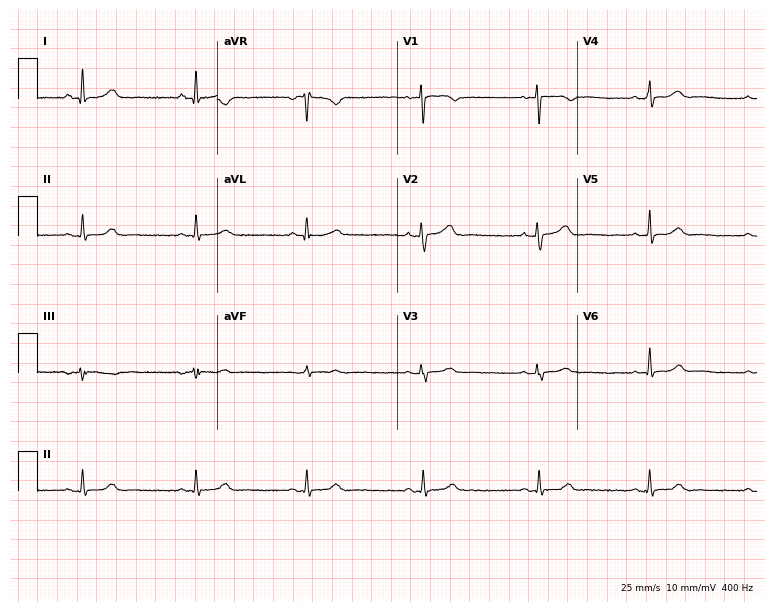
ECG — a female patient, 42 years old. Labelled as a normal ECG.